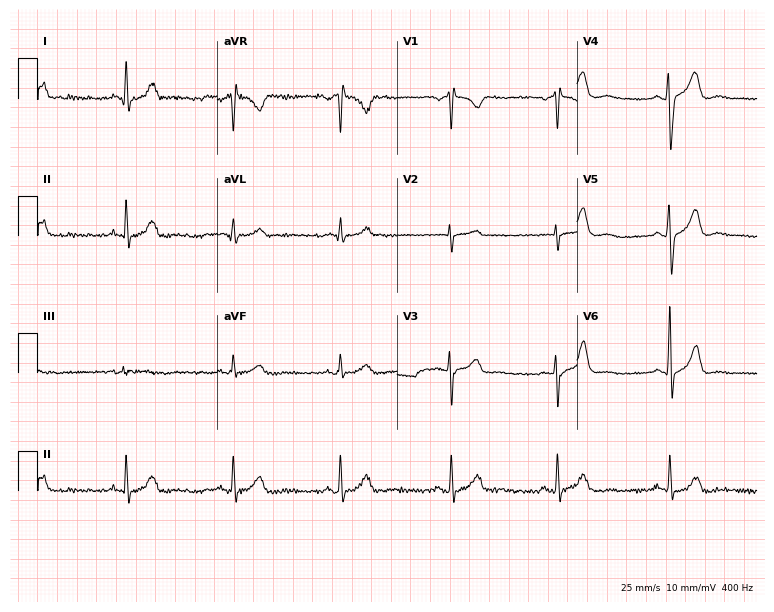
12-lead ECG from a 28-year-old male. No first-degree AV block, right bundle branch block (RBBB), left bundle branch block (LBBB), sinus bradycardia, atrial fibrillation (AF) or sinus tachycardia recorded for this tracing. Findings outside these six are not listed.